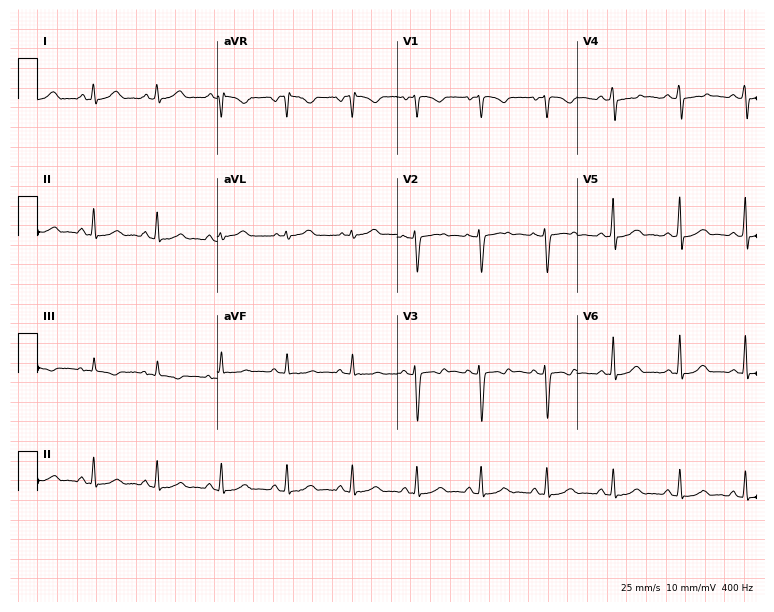
12-lead ECG from a 28-year-old female. Screened for six findings — first-degree AV block, right bundle branch block, left bundle branch block, sinus bradycardia, atrial fibrillation, sinus tachycardia — none is recorded.